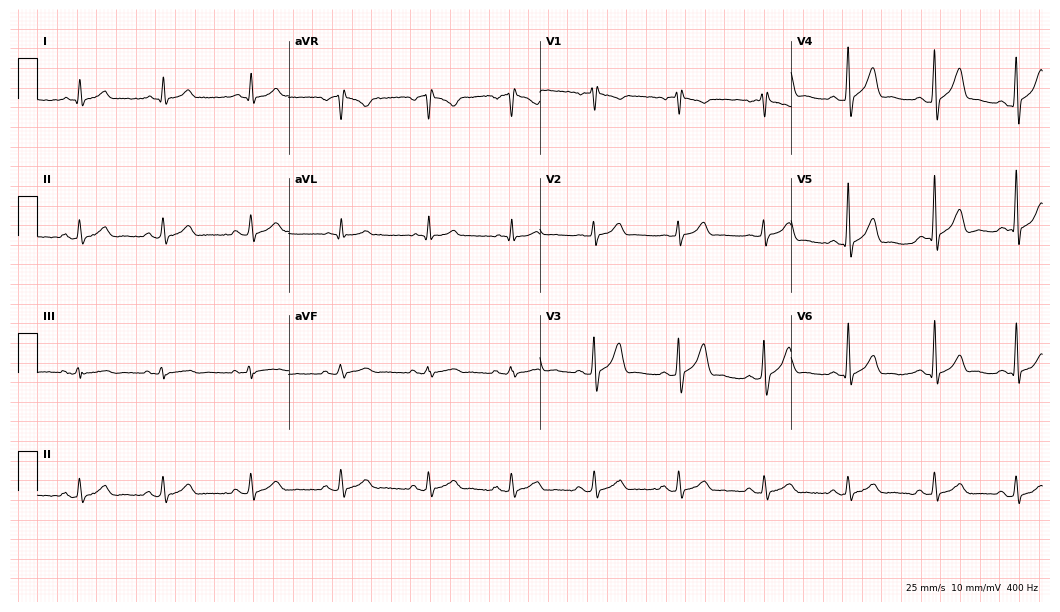
Standard 12-lead ECG recorded from a 44-year-old male (10.2-second recording at 400 Hz). Read as a normal ECG.